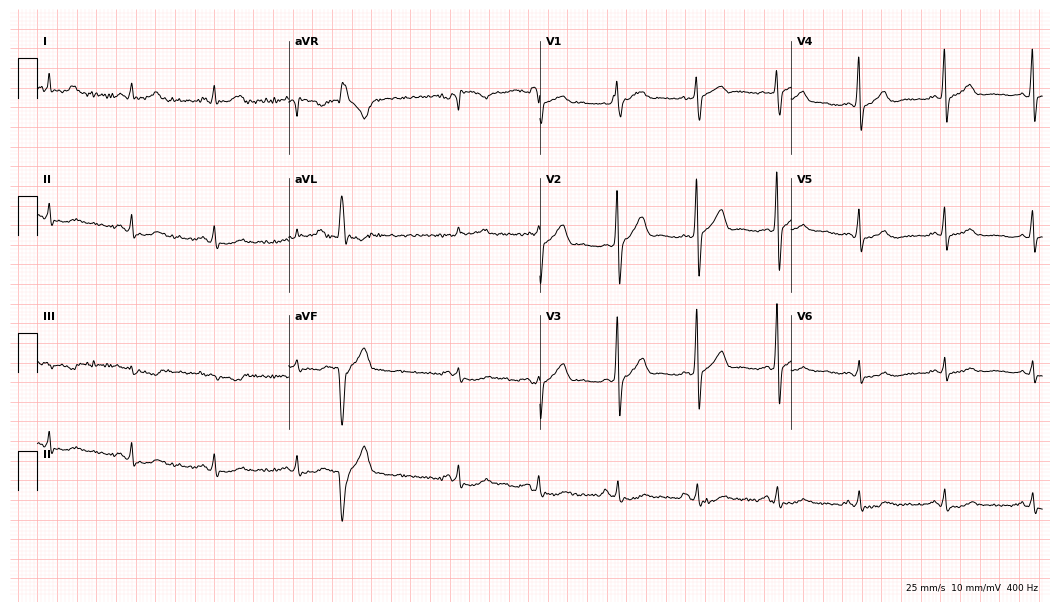
Standard 12-lead ECG recorded from a 45-year-old man. None of these six findings is recorded: first-degree AV block, right bundle branch block, left bundle branch block, sinus bradycardia, atrial fibrillation, sinus tachycardia.